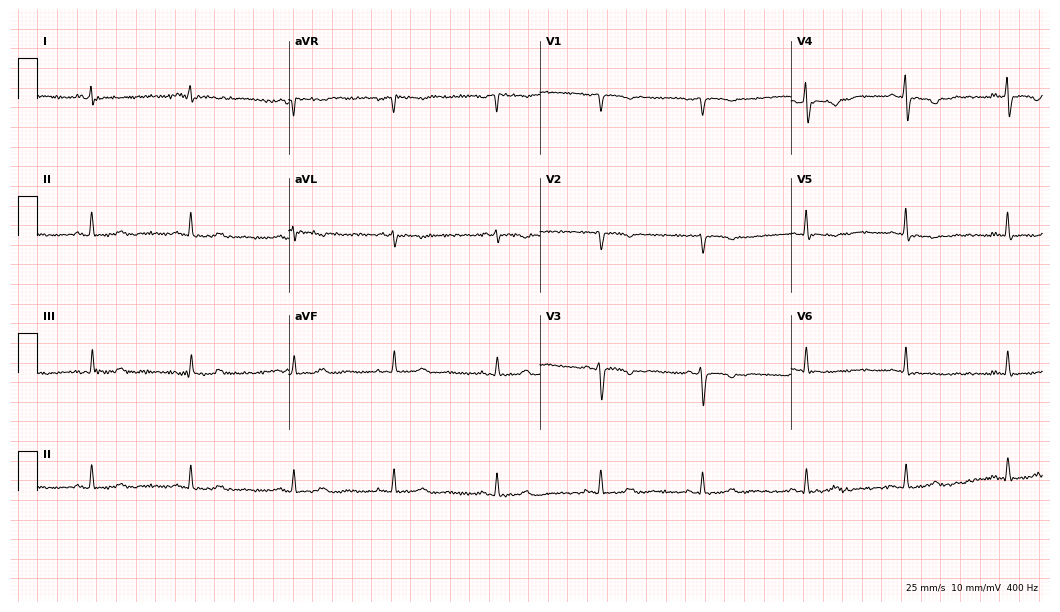
ECG (10.2-second recording at 400 Hz) — a female, 60 years old. Screened for six findings — first-degree AV block, right bundle branch block (RBBB), left bundle branch block (LBBB), sinus bradycardia, atrial fibrillation (AF), sinus tachycardia — none is recorded. Only these six findings were labelled.